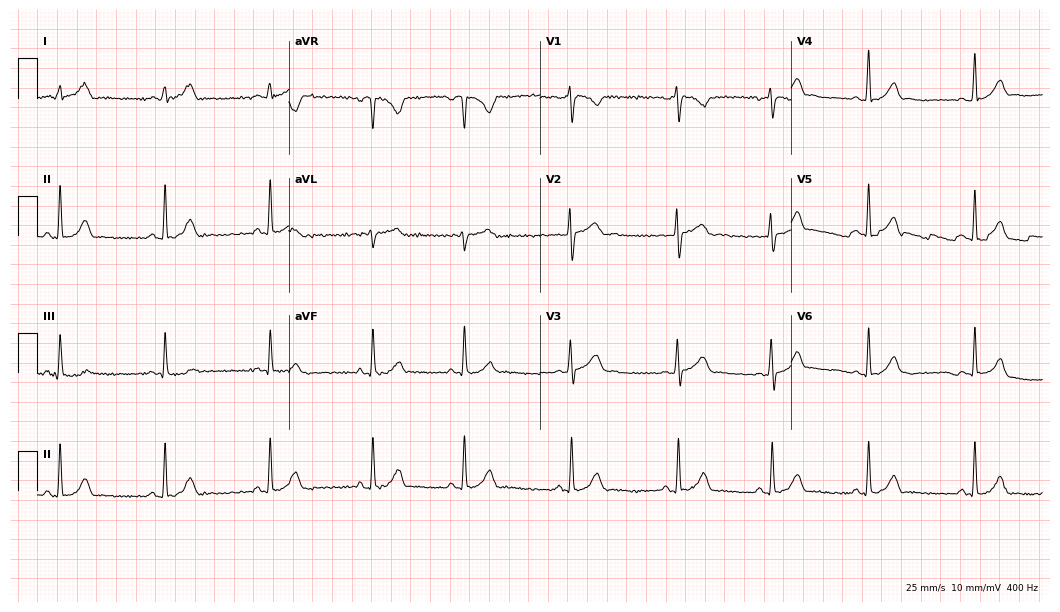
Resting 12-lead electrocardiogram (10.2-second recording at 400 Hz). Patient: a 25-year-old female. Read as a normal ECG.